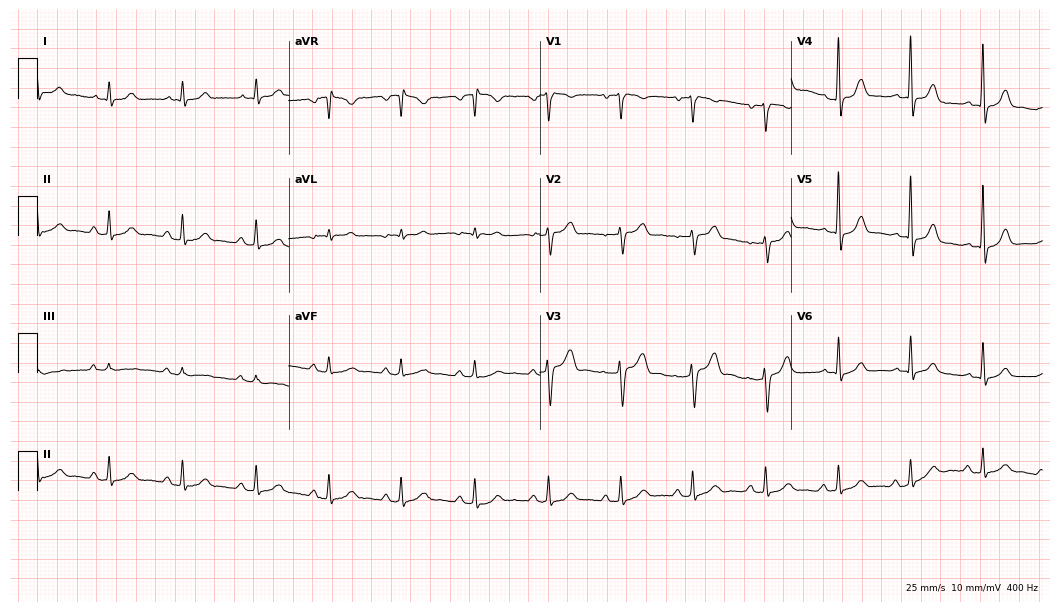
12-lead ECG from a 71-year-old male patient (10.2-second recording at 400 Hz). Recorded interpretation: within normal limits.